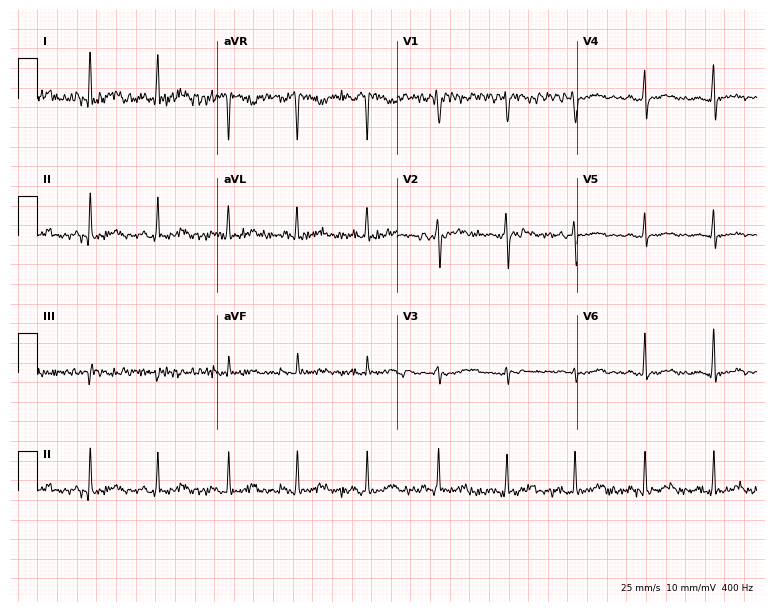
ECG — a woman, 46 years old. Labelled as a normal ECG.